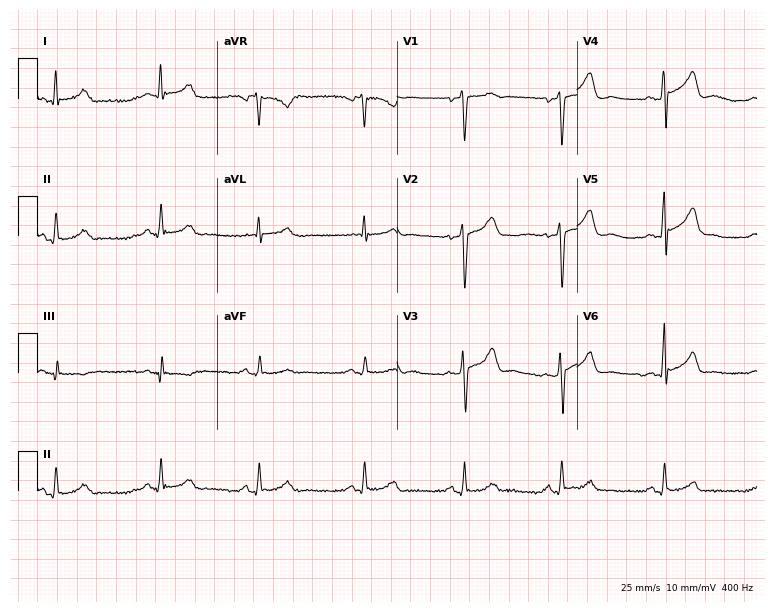
12-lead ECG from a male, 48 years old. Recorded interpretation: within normal limits.